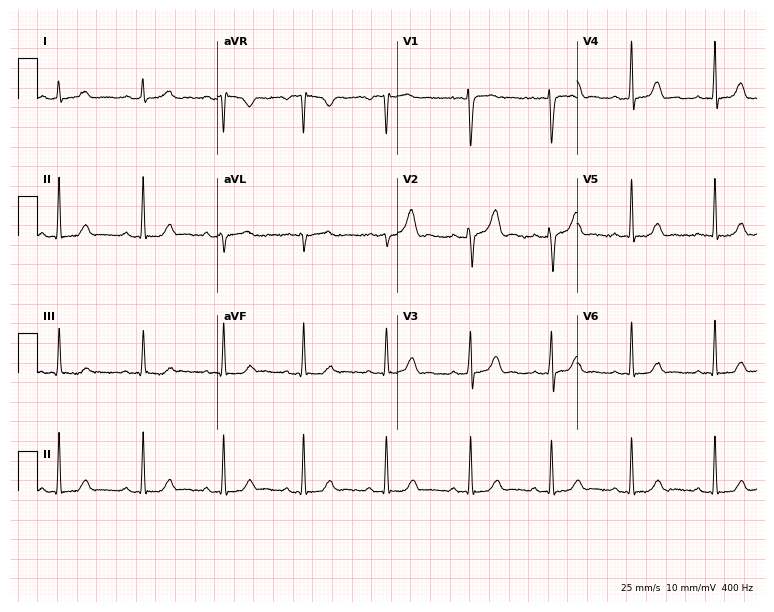
Standard 12-lead ECG recorded from a female, 33 years old (7.3-second recording at 400 Hz). Read as a normal ECG.